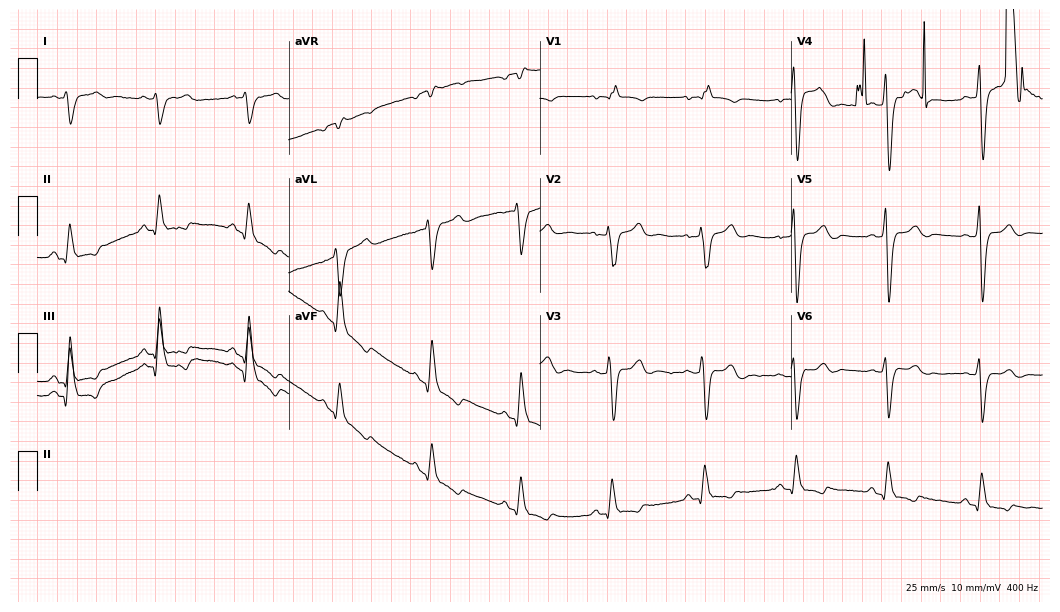
12-lead ECG (10.2-second recording at 400 Hz) from a man, 40 years old. Findings include right bundle branch block.